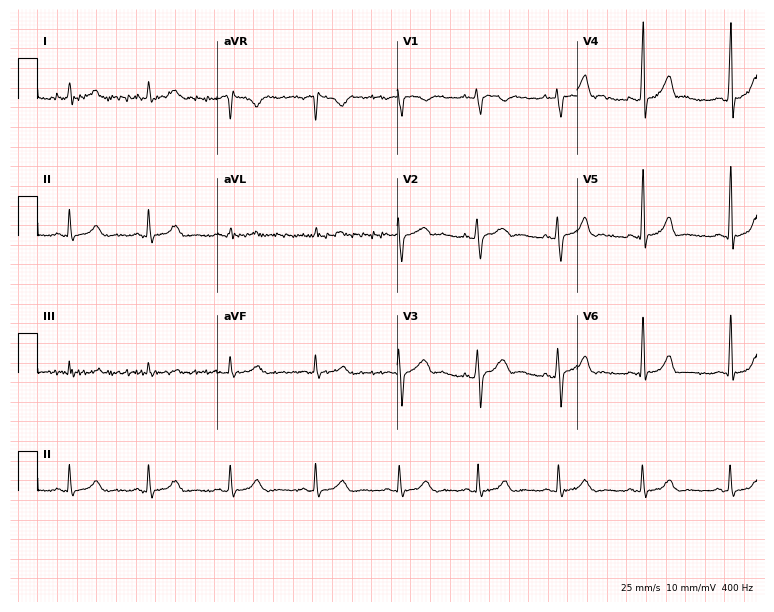
Electrocardiogram (7.3-second recording at 400 Hz), a male patient, 18 years old. Of the six screened findings (first-degree AV block, right bundle branch block (RBBB), left bundle branch block (LBBB), sinus bradycardia, atrial fibrillation (AF), sinus tachycardia), none is recorded.